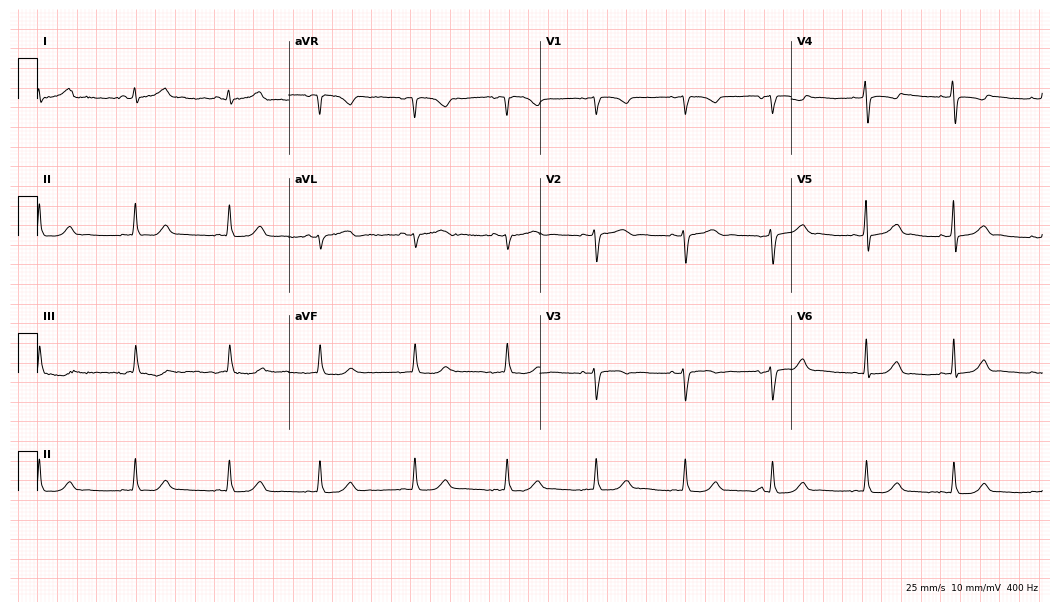
12-lead ECG (10.2-second recording at 400 Hz) from a 23-year-old female. Labelled as a normal ECG.